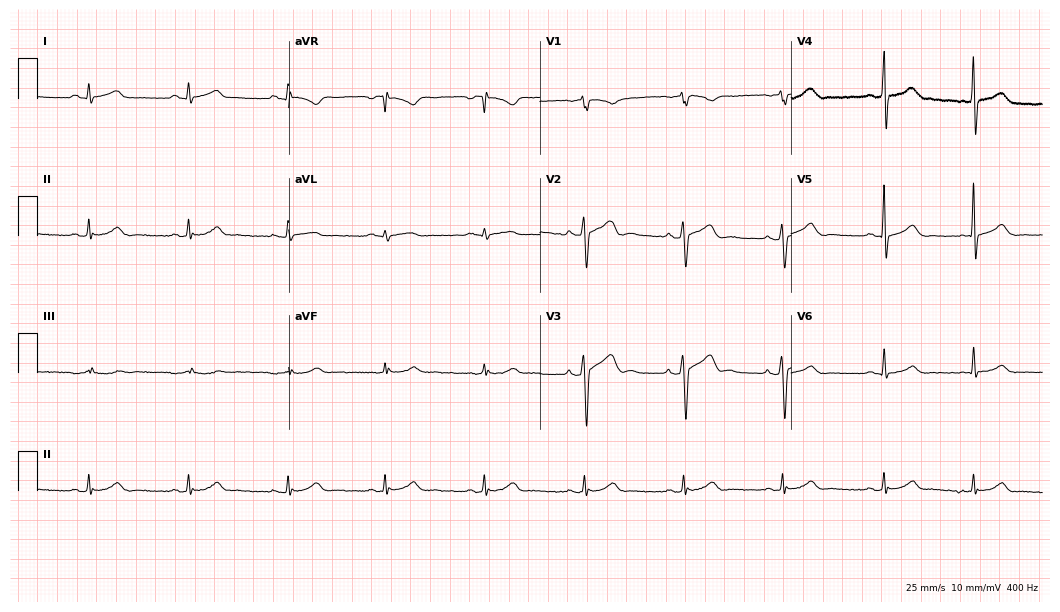
Resting 12-lead electrocardiogram. Patient: a male, 41 years old. Read as a normal ECG.